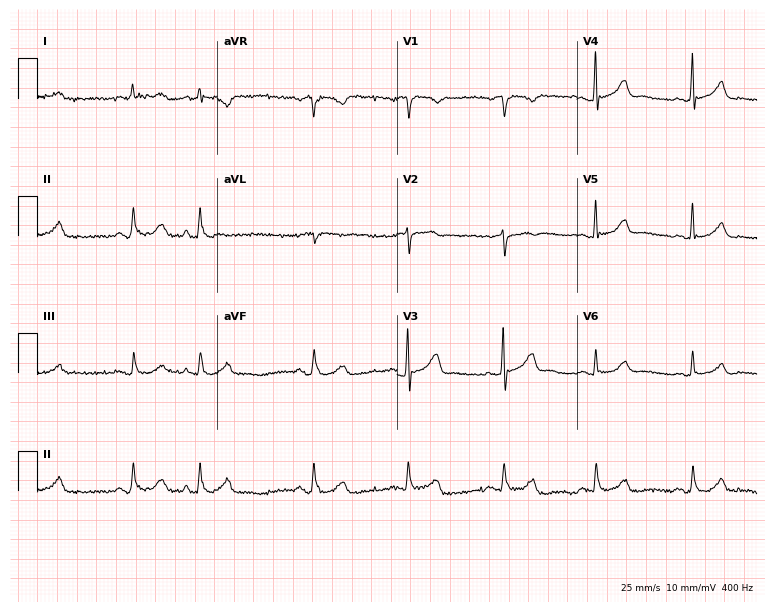
Resting 12-lead electrocardiogram. Patient: a man, 61 years old. Read as a normal ECG.